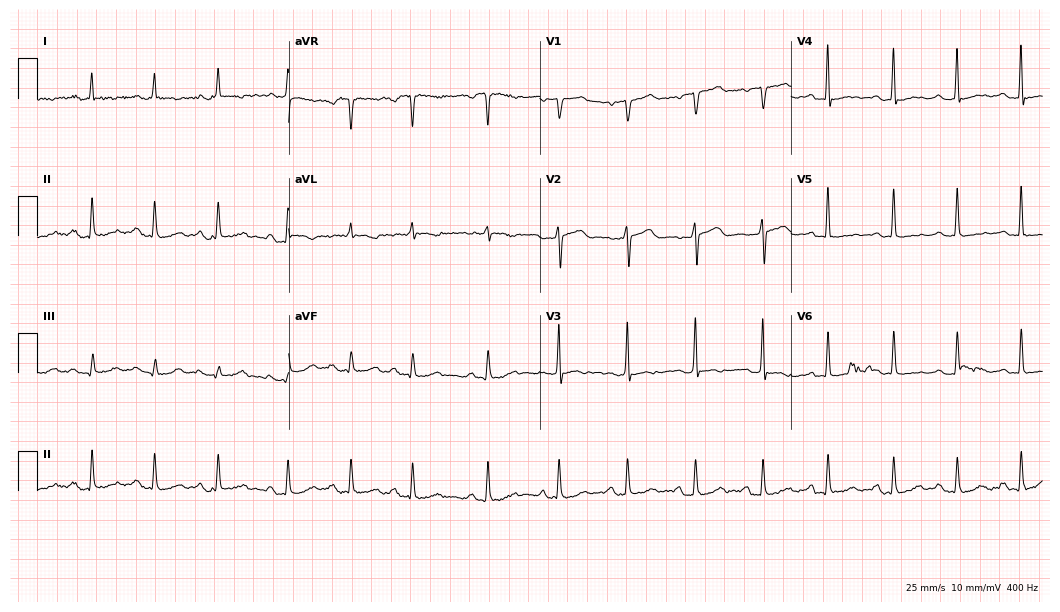
Electrocardiogram (10.2-second recording at 400 Hz), a female patient, 73 years old. Of the six screened findings (first-degree AV block, right bundle branch block, left bundle branch block, sinus bradycardia, atrial fibrillation, sinus tachycardia), none is recorded.